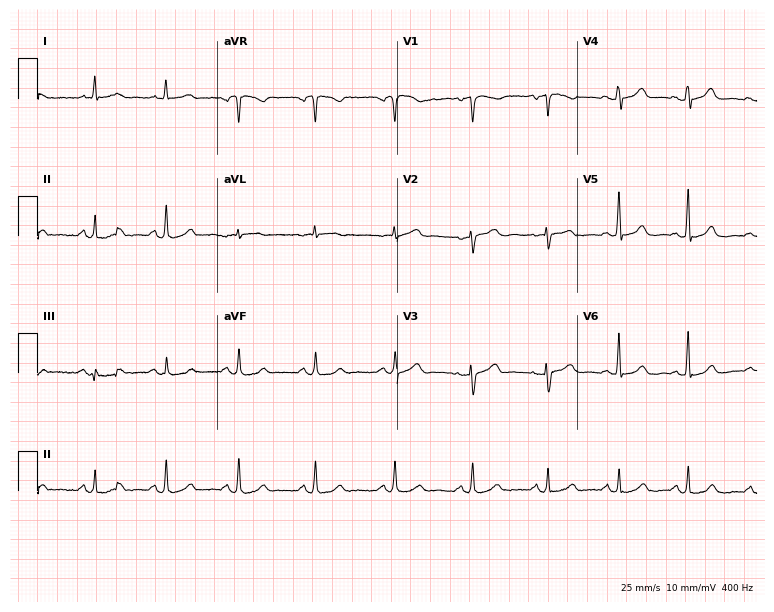
ECG — a 62-year-old female patient. Labelled as a normal ECG.